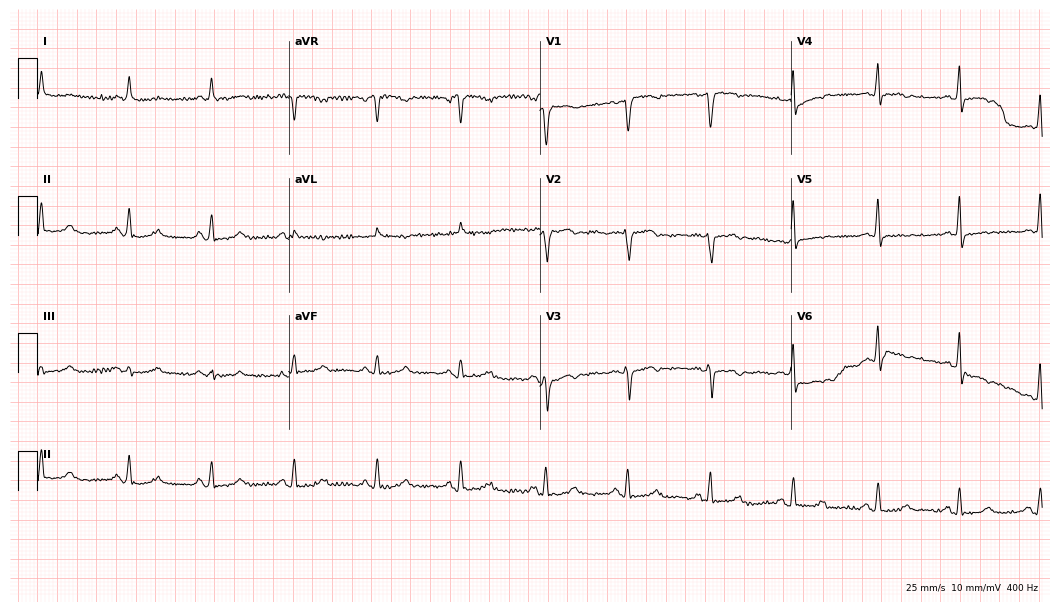
Standard 12-lead ECG recorded from a 75-year-old woman. None of these six findings is recorded: first-degree AV block, right bundle branch block (RBBB), left bundle branch block (LBBB), sinus bradycardia, atrial fibrillation (AF), sinus tachycardia. Findings outside these six are not listed.